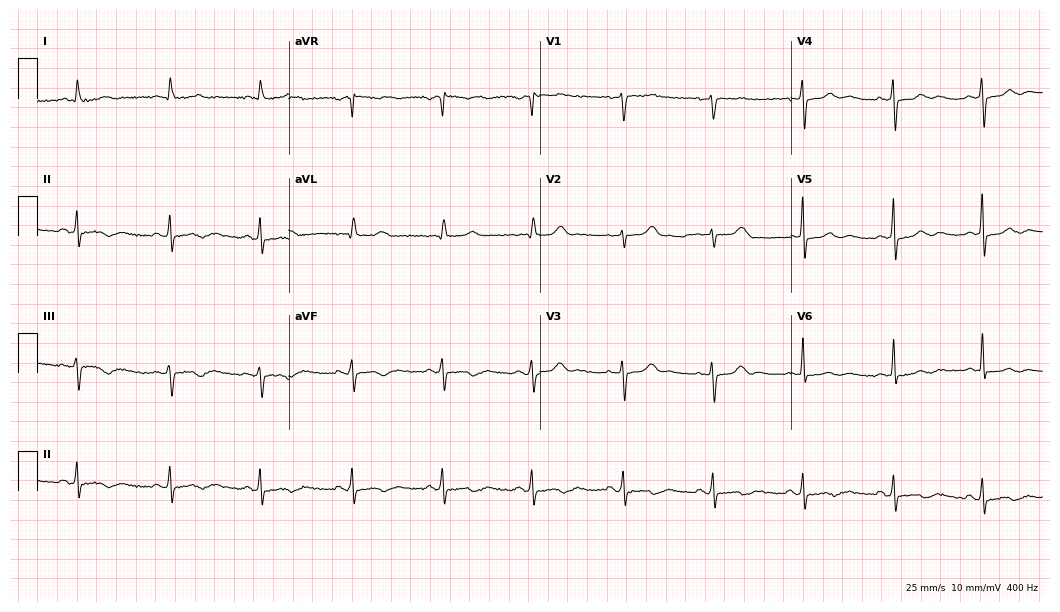
Resting 12-lead electrocardiogram. Patient: a female, 67 years old. None of these six findings is recorded: first-degree AV block, right bundle branch block, left bundle branch block, sinus bradycardia, atrial fibrillation, sinus tachycardia.